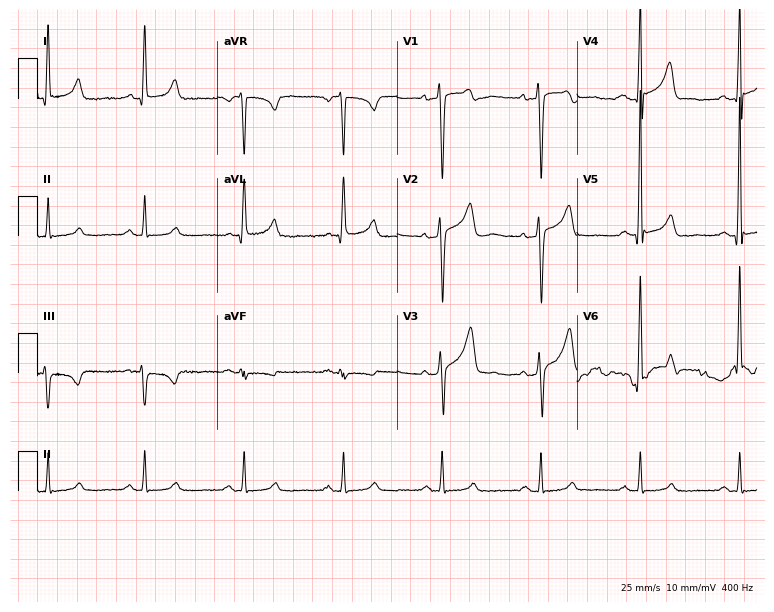
12-lead ECG from a 53-year-old man (7.3-second recording at 400 Hz). No first-degree AV block, right bundle branch block (RBBB), left bundle branch block (LBBB), sinus bradycardia, atrial fibrillation (AF) or sinus tachycardia recorded for this tracing.